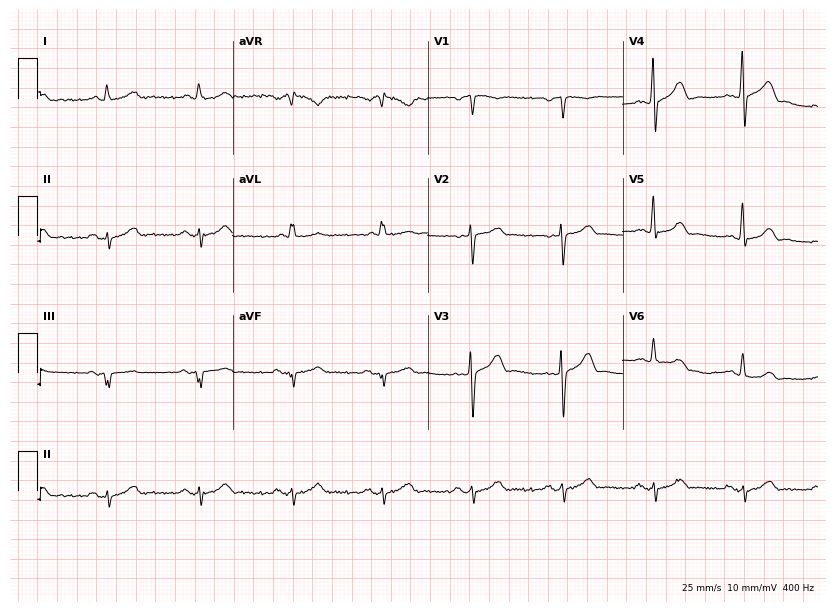
Standard 12-lead ECG recorded from a 63-year-old man. None of these six findings is recorded: first-degree AV block, right bundle branch block, left bundle branch block, sinus bradycardia, atrial fibrillation, sinus tachycardia. Other findings, if any, are not listed.